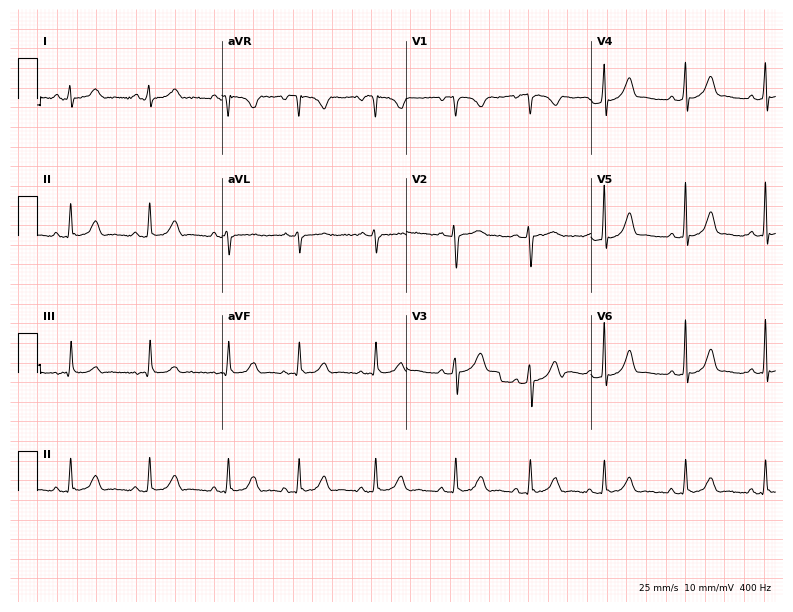
12-lead ECG (7.5-second recording at 400 Hz) from a woman, 19 years old. Labelled as a normal ECG.